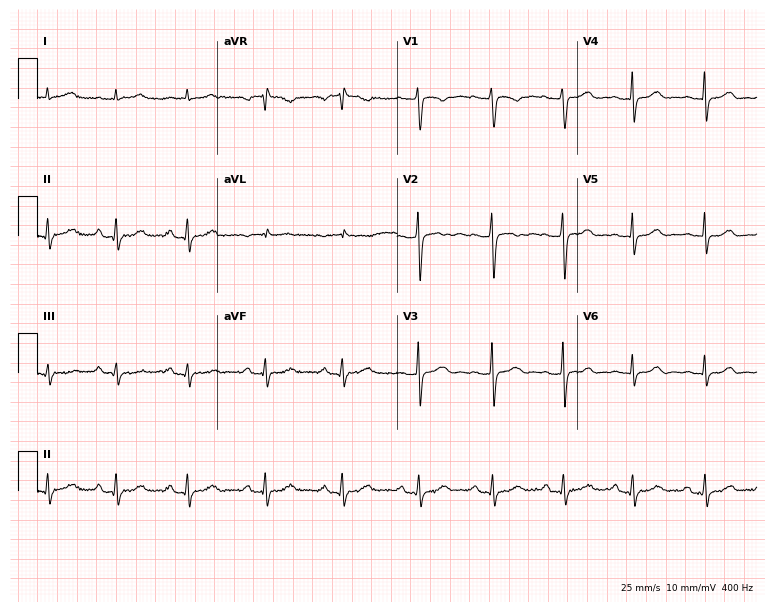
ECG (7.3-second recording at 400 Hz) — a 32-year-old female. Labelled as a normal ECG.